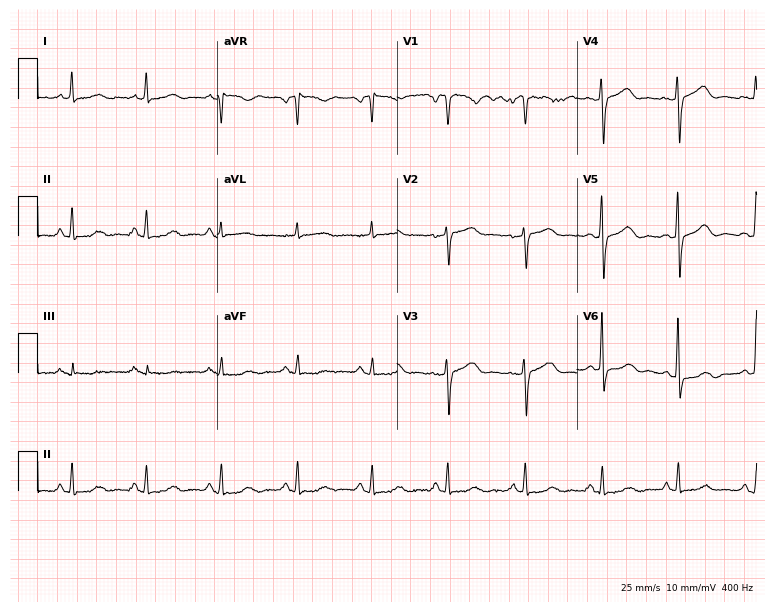
Standard 12-lead ECG recorded from a female, 61 years old. Read as a normal ECG.